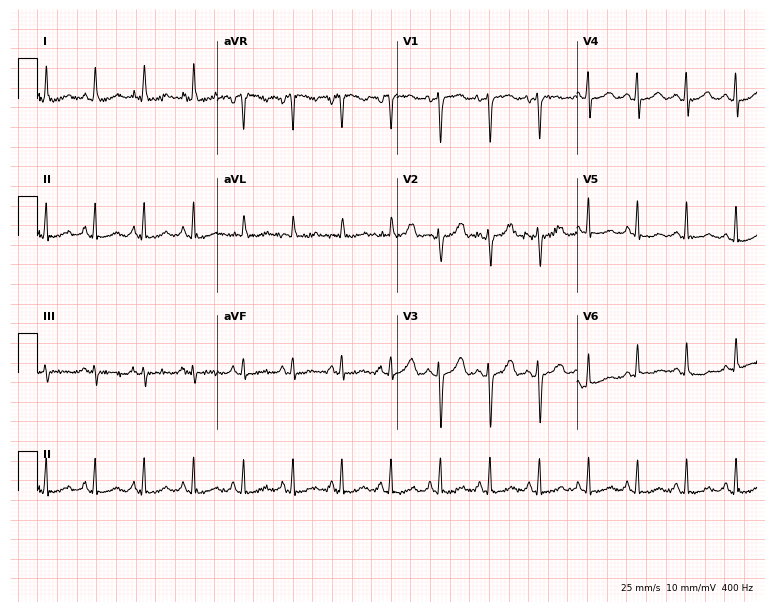
Standard 12-lead ECG recorded from a 42-year-old female patient (7.3-second recording at 400 Hz). The tracing shows sinus tachycardia (a sinus rate of 100 beats per minute or more).